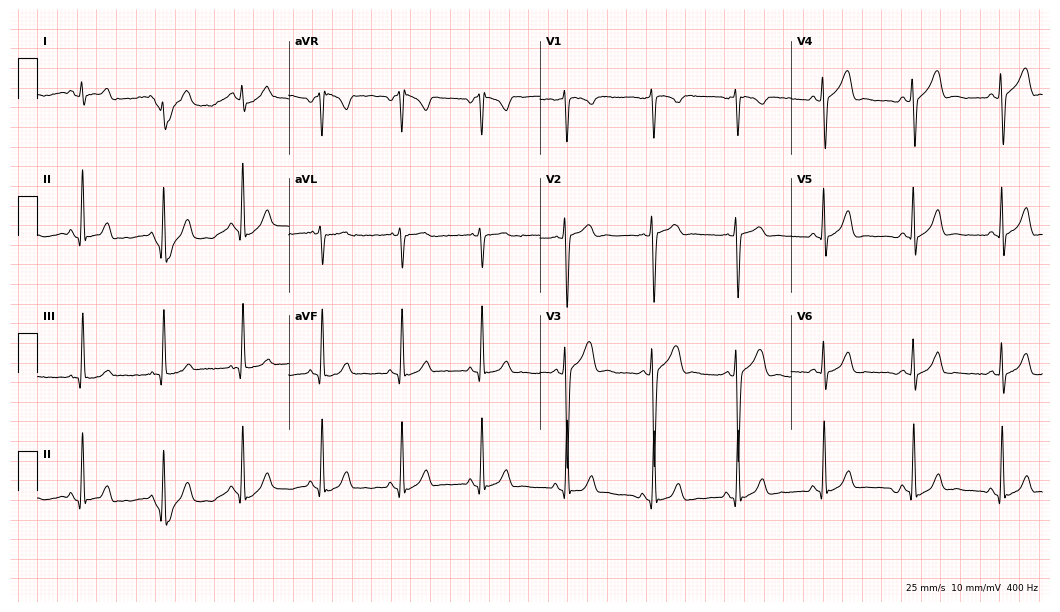
Standard 12-lead ECG recorded from a 30-year-old male. Read as a normal ECG.